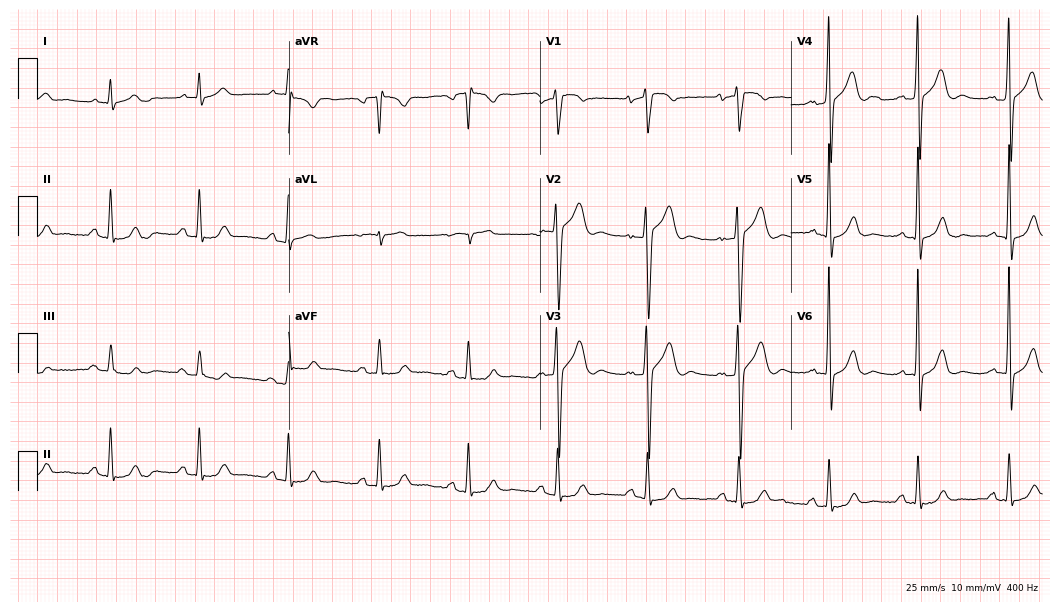
ECG — a 66-year-old male. Labelled as a normal ECG.